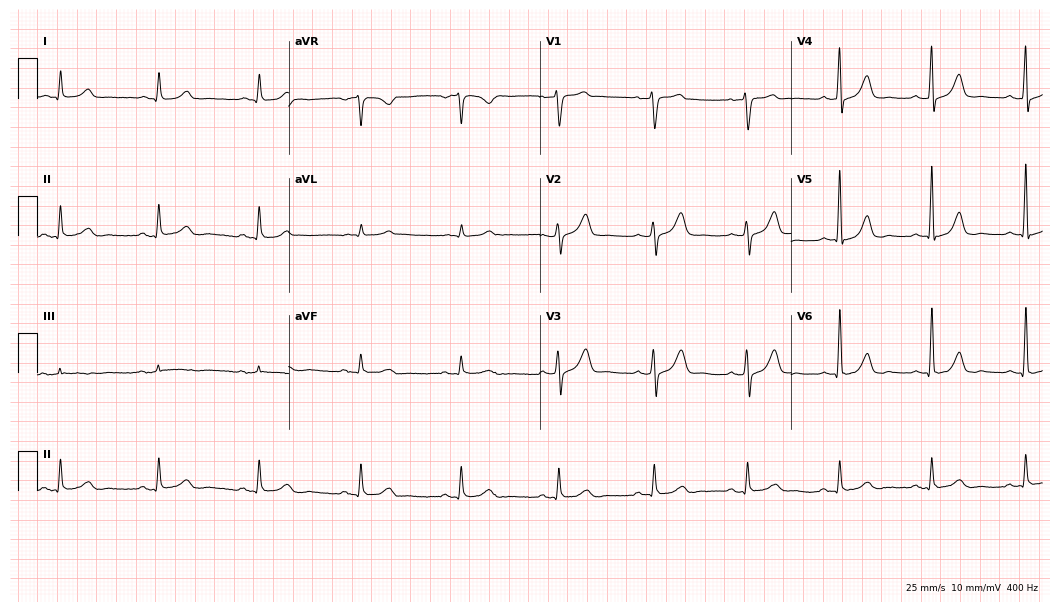
Electrocardiogram (10.2-second recording at 400 Hz), a 50-year-old man. Of the six screened findings (first-degree AV block, right bundle branch block (RBBB), left bundle branch block (LBBB), sinus bradycardia, atrial fibrillation (AF), sinus tachycardia), none is recorded.